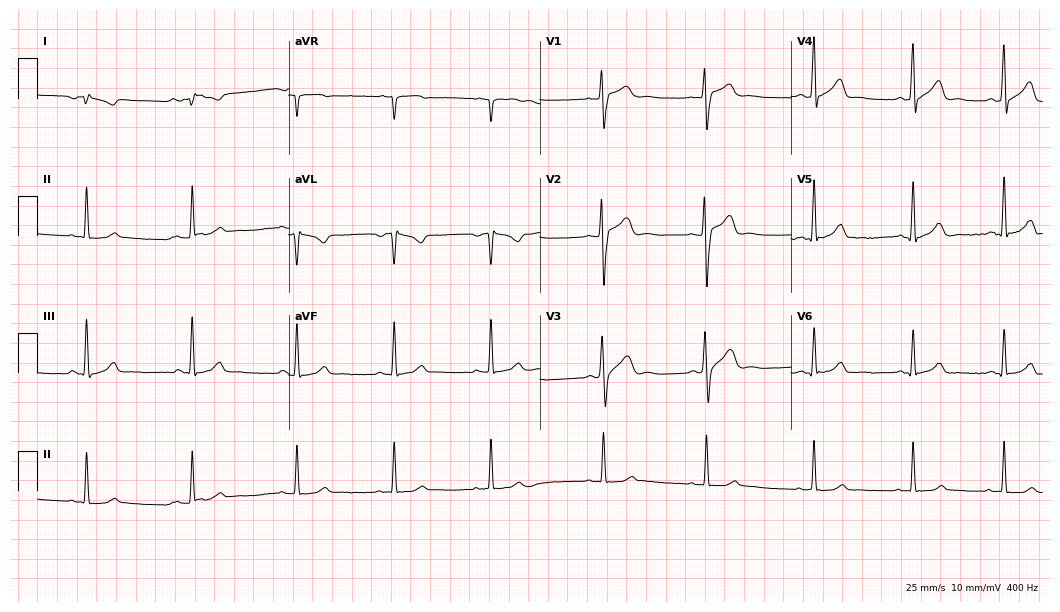
Standard 12-lead ECG recorded from a 26-year-old male patient (10.2-second recording at 400 Hz). None of these six findings is recorded: first-degree AV block, right bundle branch block, left bundle branch block, sinus bradycardia, atrial fibrillation, sinus tachycardia.